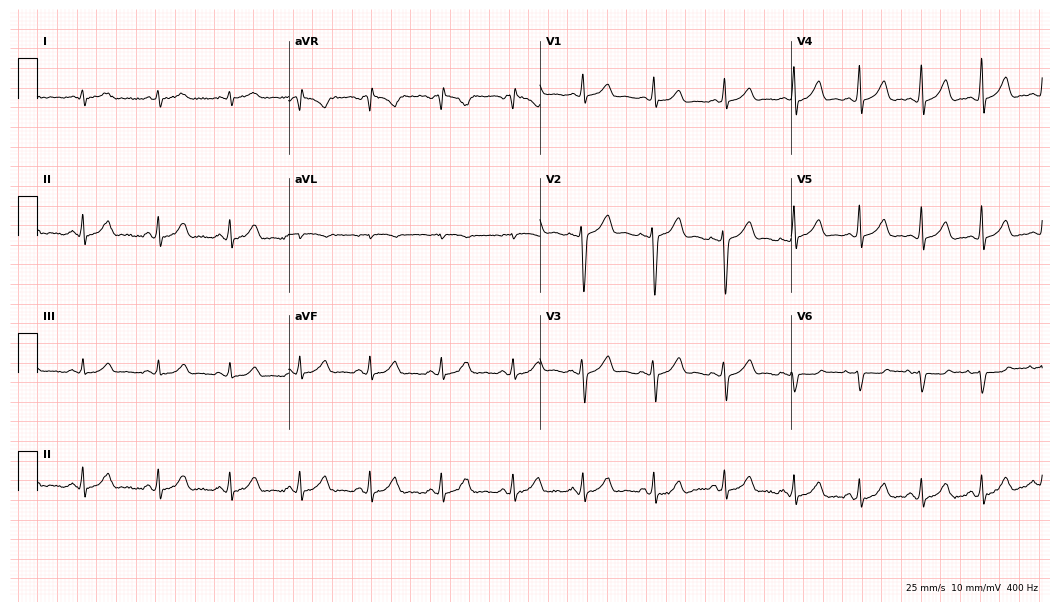
12-lead ECG from a female patient, 39 years old. Screened for six findings — first-degree AV block, right bundle branch block (RBBB), left bundle branch block (LBBB), sinus bradycardia, atrial fibrillation (AF), sinus tachycardia — none is recorded. Findings outside these six are not listed.